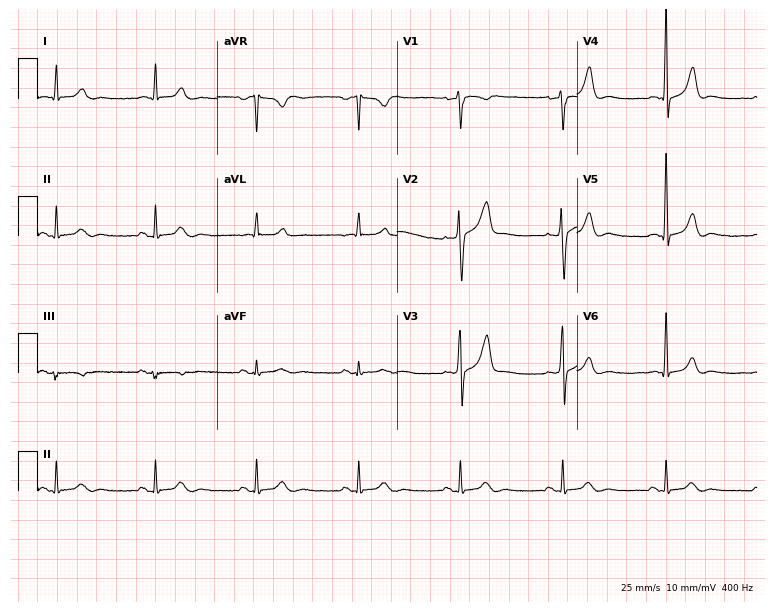
12-lead ECG (7.3-second recording at 400 Hz) from a male, 66 years old. Screened for six findings — first-degree AV block, right bundle branch block, left bundle branch block, sinus bradycardia, atrial fibrillation, sinus tachycardia — none is recorded.